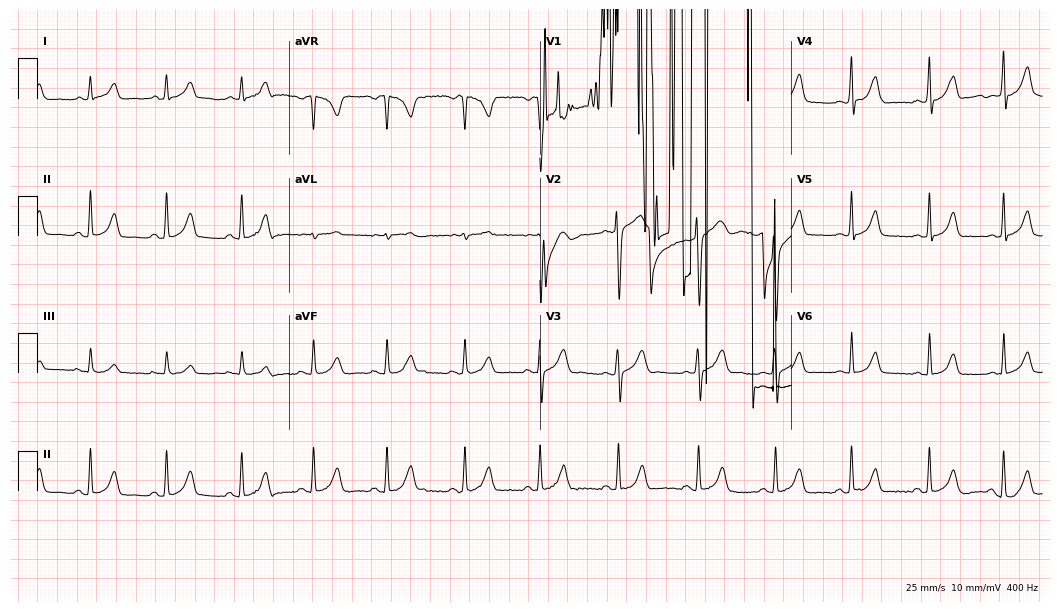
12-lead ECG from a 17-year-old woman. No first-degree AV block, right bundle branch block (RBBB), left bundle branch block (LBBB), sinus bradycardia, atrial fibrillation (AF) or sinus tachycardia recorded for this tracing.